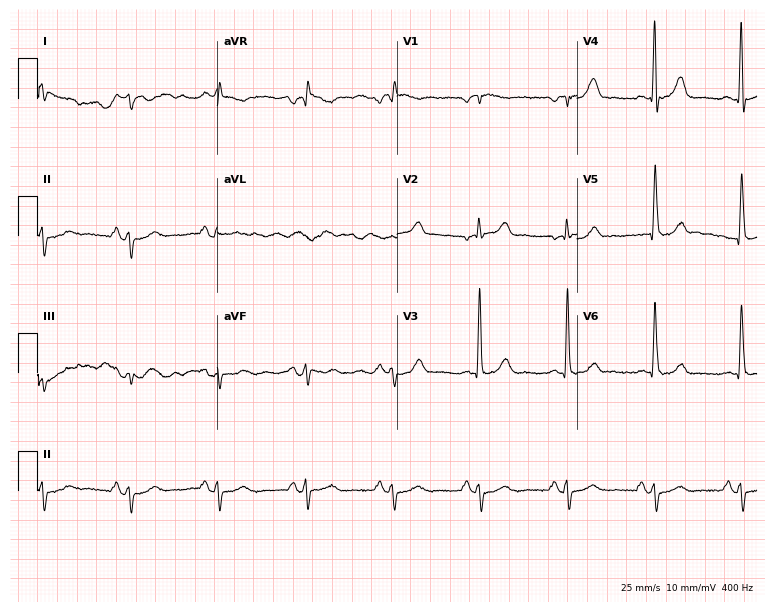
ECG (7.3-second recording at 400 Hz) — a 65-year-old male. Screened for six findings — first-degree AV block, right bundle branch block, left bundle branch block, sinus bradycardia, atrial fibrillation, sinus tachycardia — none is recorded.